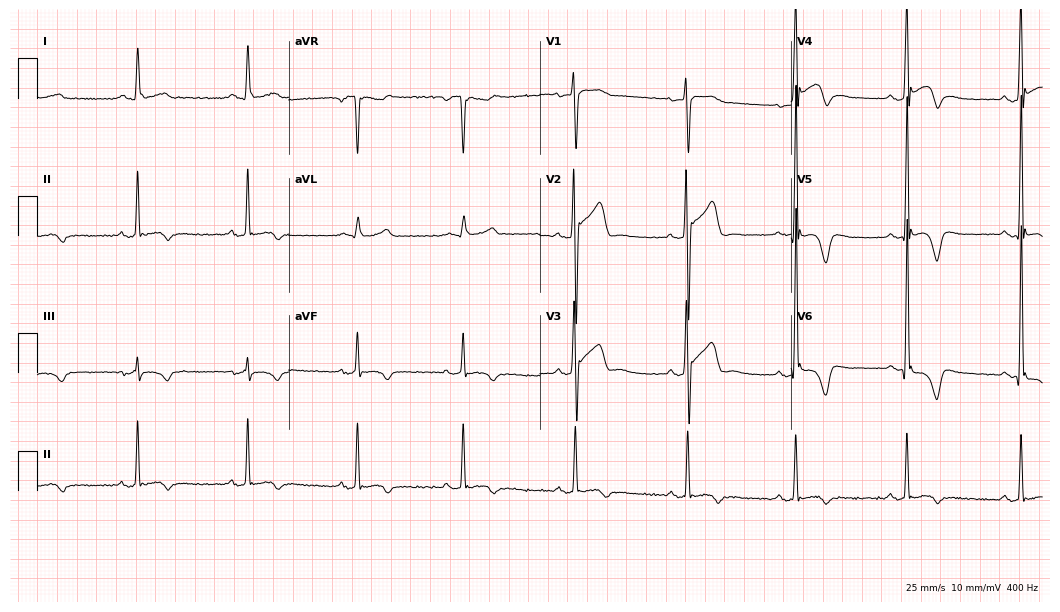
Standard 12-lead ECG recorded from a 30-year-old man (10.2-second recording at 400 Hz). None of these six findings is recorded: first-degree AV block, right bundle branch block, left bundle branch block, sinus bradycardia, atrial fibrillation, sinus tachycardia. Other findings, if any, are not listed.